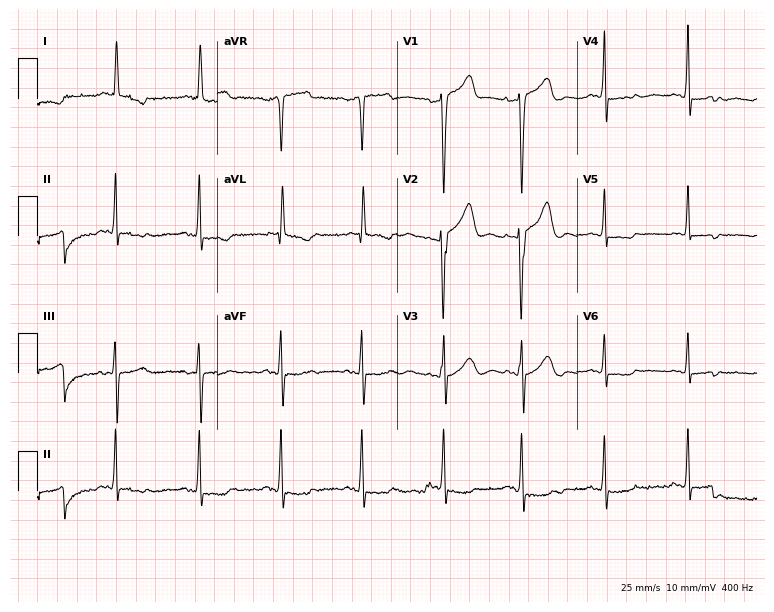
ECG — a woman, 84 years old. Screened for six findings — first-degree AV block, right bundle branch block (RBBB), left bundle branch block (LBBB), sinus bradycardia, atrial fibrillation (AF), sinus tachycardia — none is recorded. Findings outside these six are not listed.